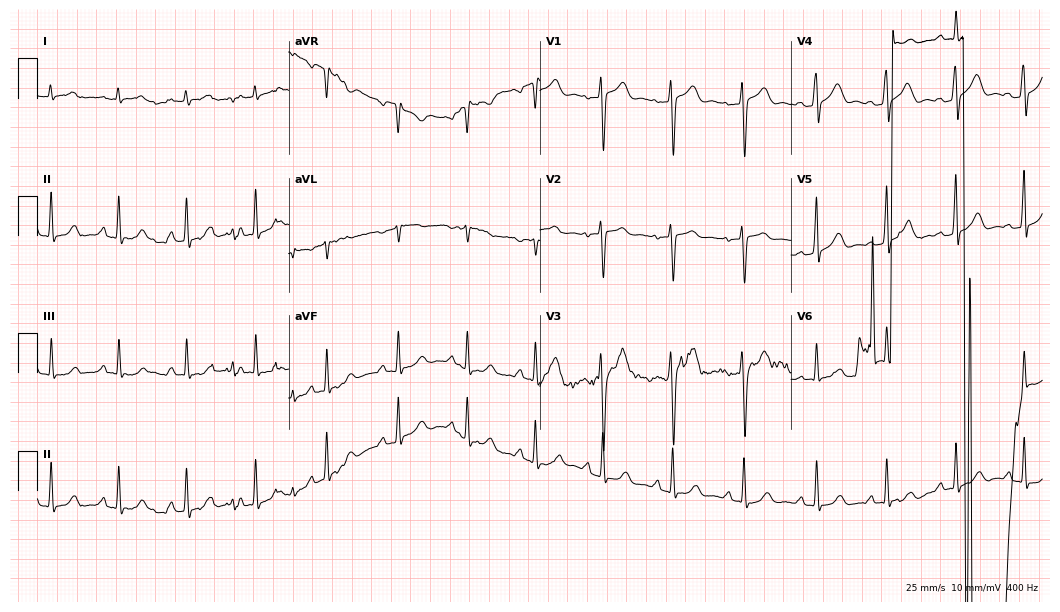
Standard 12-lead ECG recorded from a male, 37 years old (10.2-second recording at 400 Hz). None of these six findings is recorded: first-degree AV block, right bundle branch block (RBBB), left bundle branch block (LBBB), sinus bradycardia, atrial fibrillation (AF), sinus tachycardia.